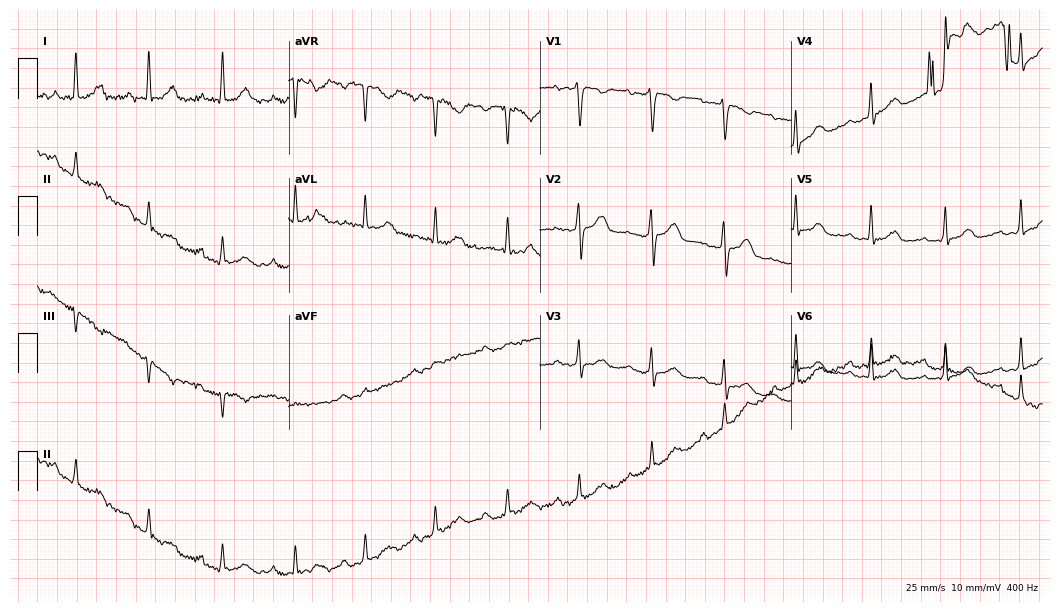
ECG (10.2-second recording at 400 Hz) — a 46-year-old female patient. Findings include sinus tachycardia (a sinus rate of 100 beats per minute or more).